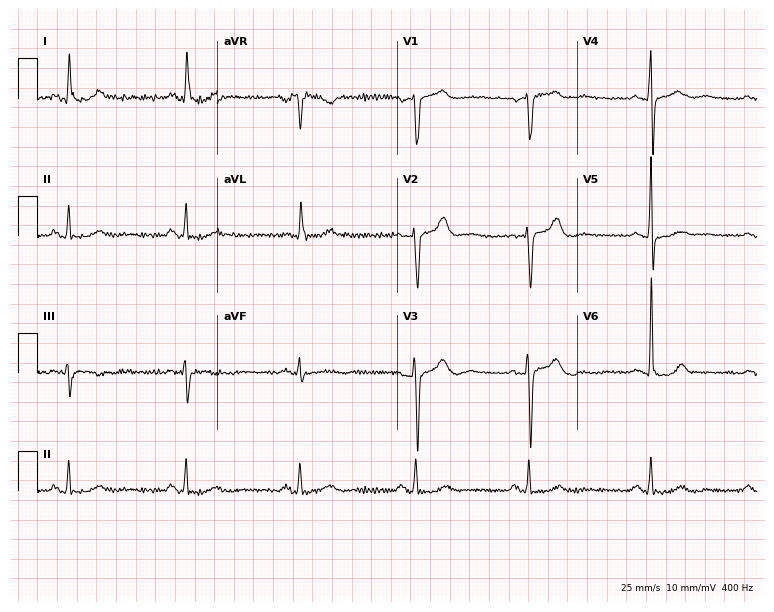
ECG (7.3-second recording at 400 Hz) — a female patient, 60 years old. Screened for six findings — first-degree AV block, right bundle branch block, left bundle branch block, sinus bradycardia, atrial fibrillation, sinus tachycardia — none is recorded.